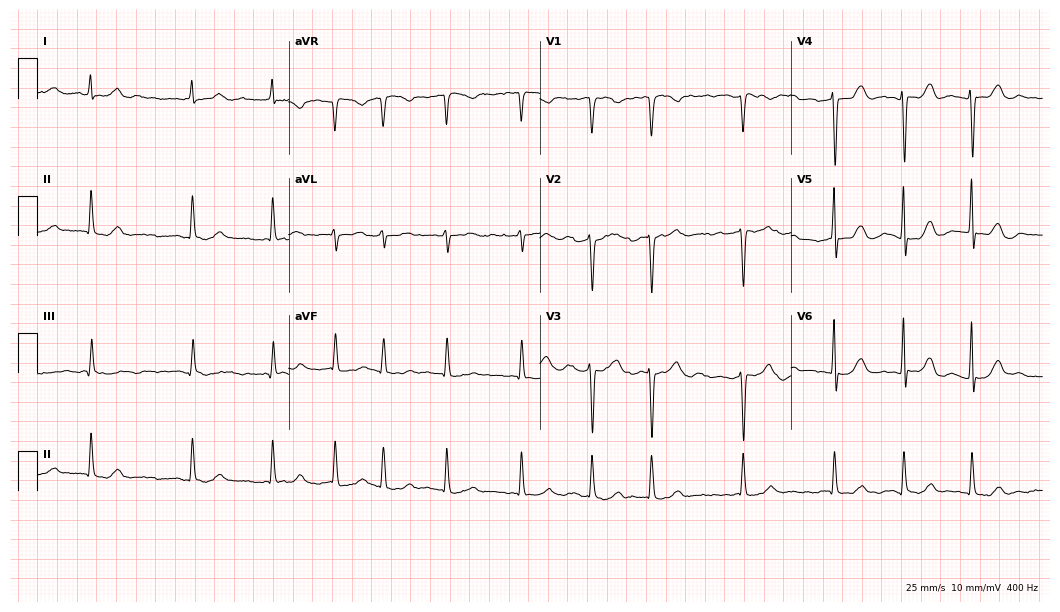
Electrocardiogram (10.2-second recording at 400 Hz), a female, 80 years old. Interpretation includes atrial fibrillation (AF).